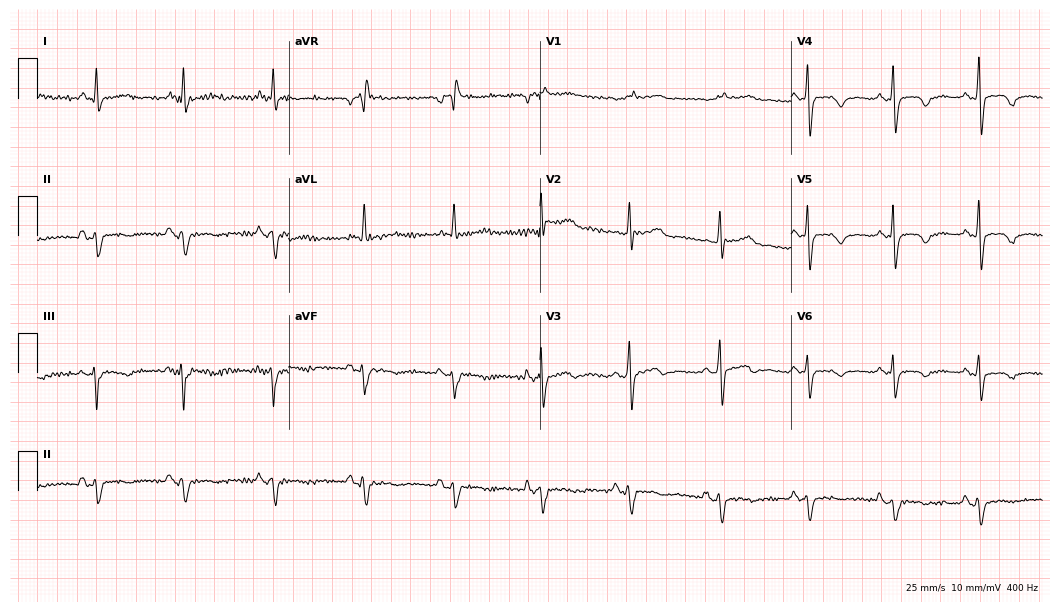
Electrocardiogram (10.2-second recording at 400 Hz), a female, 62 years old. Of the six screened findings (first-degree AV block, right bundle branch block, left bundle branch block, sinus bradycardia, atrial fibrillation, sinus tachycardia), none is recorded. Other findings, if any, are not listed.